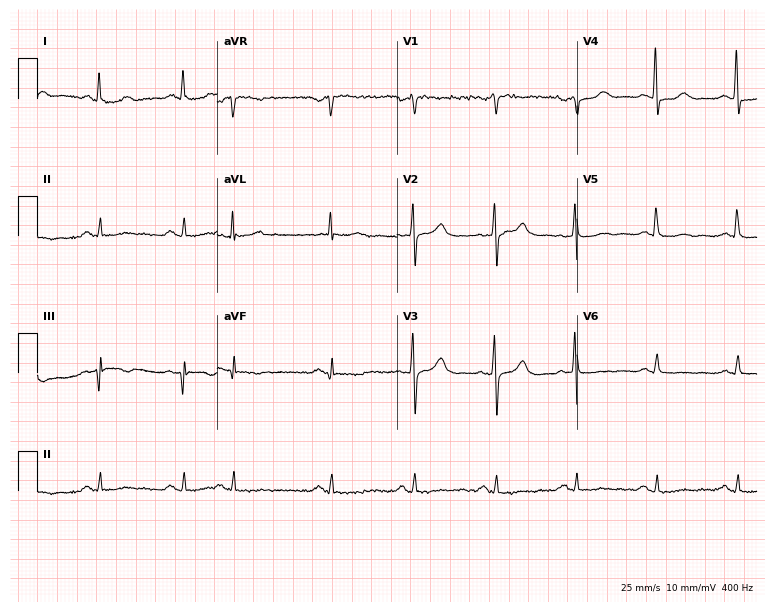
12-lead ECG from a female patient, 58 years old (7.3-second recording at 400 Hz). No first-degree AV block, right bundle branch block, left bundle branch block, sinus bradycardia, atrial fibrillation or sinus tachycardia recorded for this tracing. Findings outside these six are not listed.